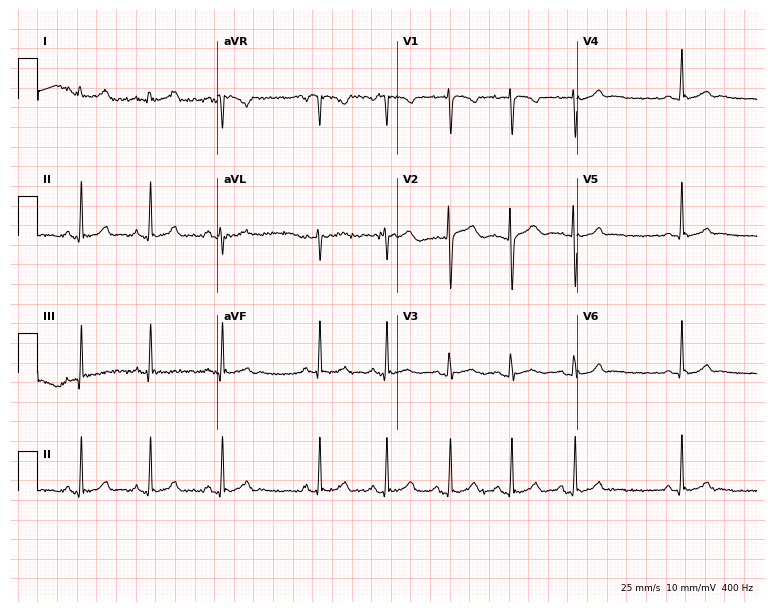
12-lead ECG from a female patient, 18 years old. Recorded interpretation: within normal limits.